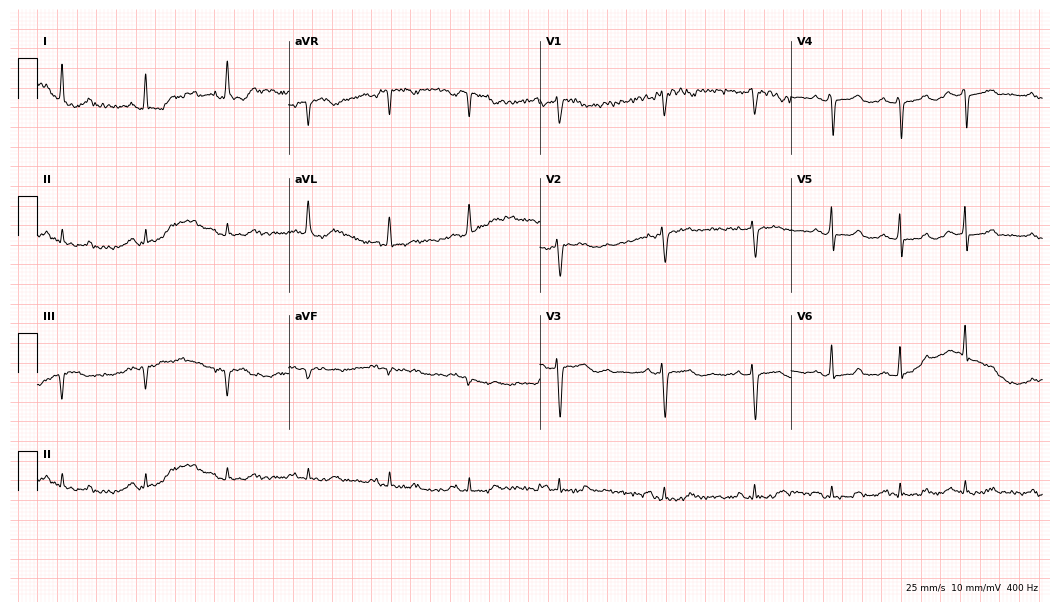
Electrocardiogram, a female patient, 81 years old. Of the six screened findings (first-degree AV block, right bundle branch block, left bundle branch block, sinus bradycardia, atrial fibrillation, sinus tachycardia), none is recorded. Only these six findings were labelled.